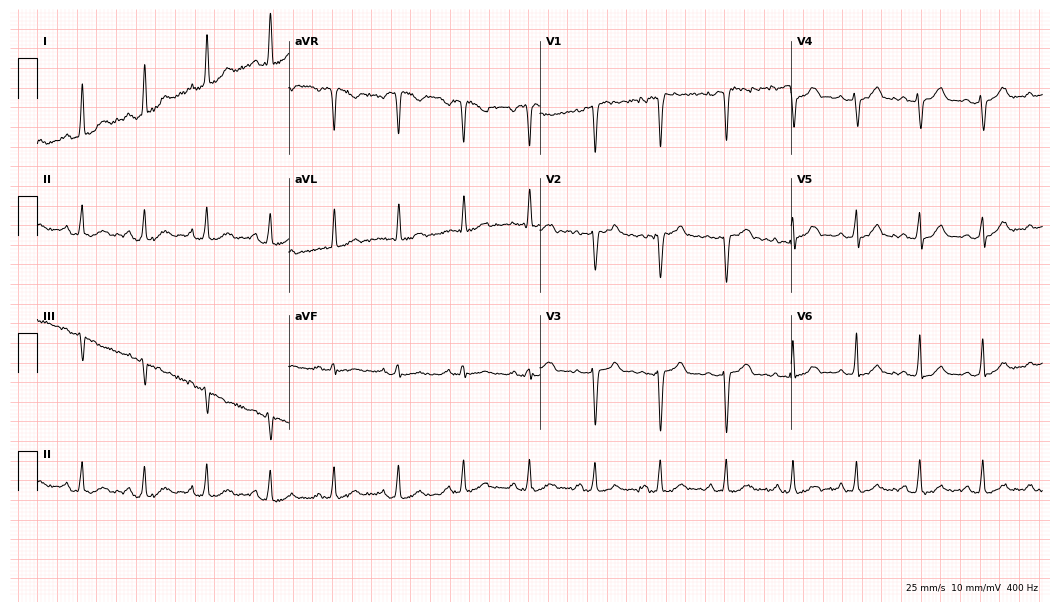
12-lead ECG from a 37-year-old woman (10.2-second recording at 400 Hz). Recorded interpretation: within normal limits.